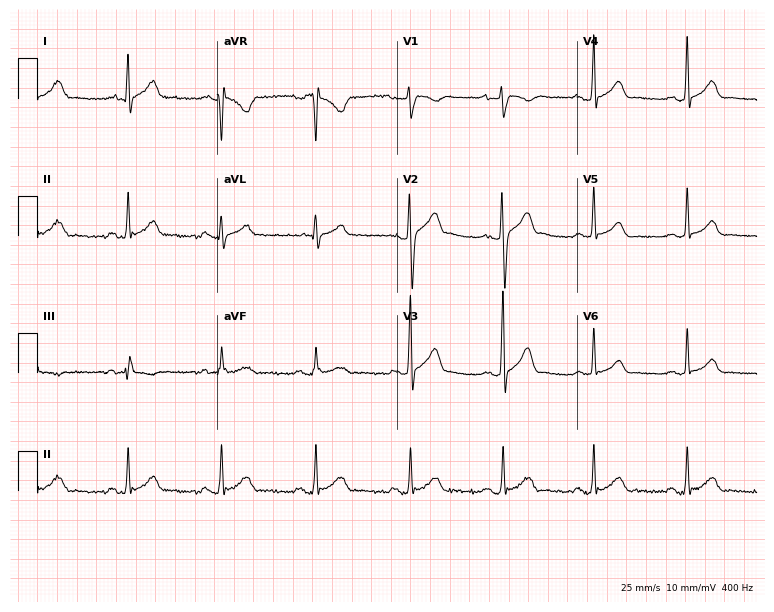
ECG — a 36-year-old male. Labelled as a normal ECG.